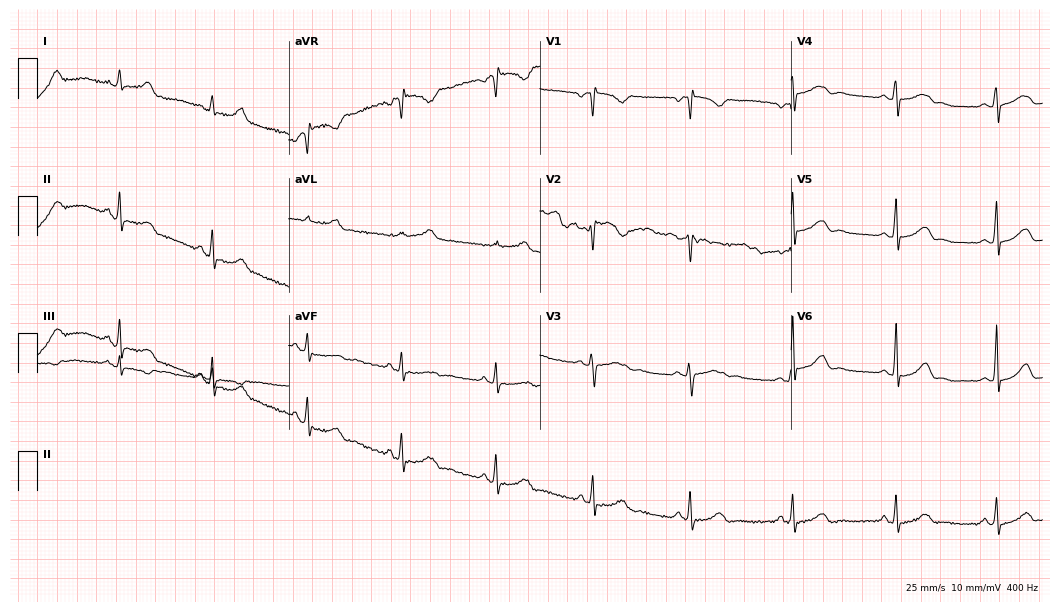
12-lead ECG (10.2-second recording at 400 Hz) from a female, 40 years old. Labelled as a normal ECG.